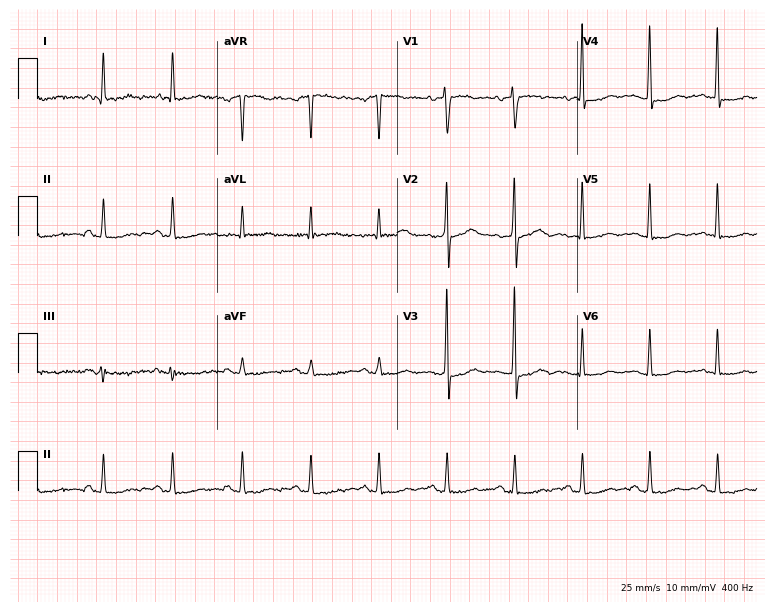
Standard 12-lead ECG recorded from a female, 67 years old. None of these six findings is recorded: first-degree AV block, right bundle branch block, left bundle branch block, sinus bradycardia, atrial fibrillation, sinus tachycardia. Only these six findings were labelled.